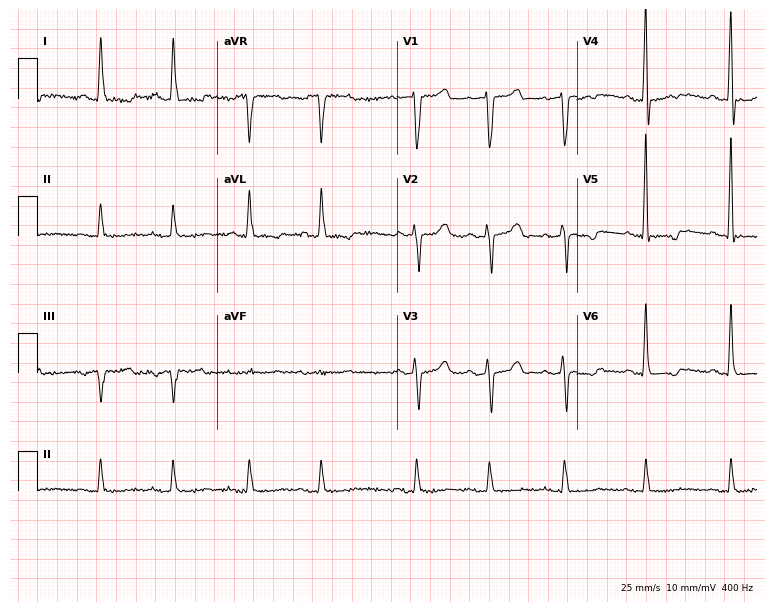
Electrocardiogram (7.3-second recording at 400 Hz), an 83-year-old male. Of the six screened findings (first-degree AV block, right bundle branch block, left bundle branch block, sinus bradycardia, atrial fibrillation, sinus tachycardia), none is recorded.